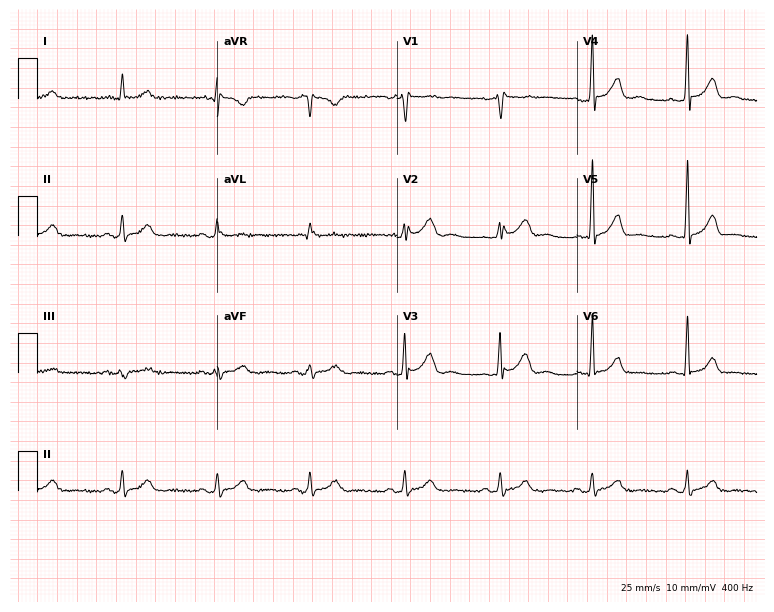
12-lead ECG from a male patient, 40 years old. Screened for six findings — first-degree AV block, right bundle branch block, left bundle branch block, sinus bradycardia, atrial fibrillation, sinus tachycardia — none is recorded. Other findings, if any, are not listed.